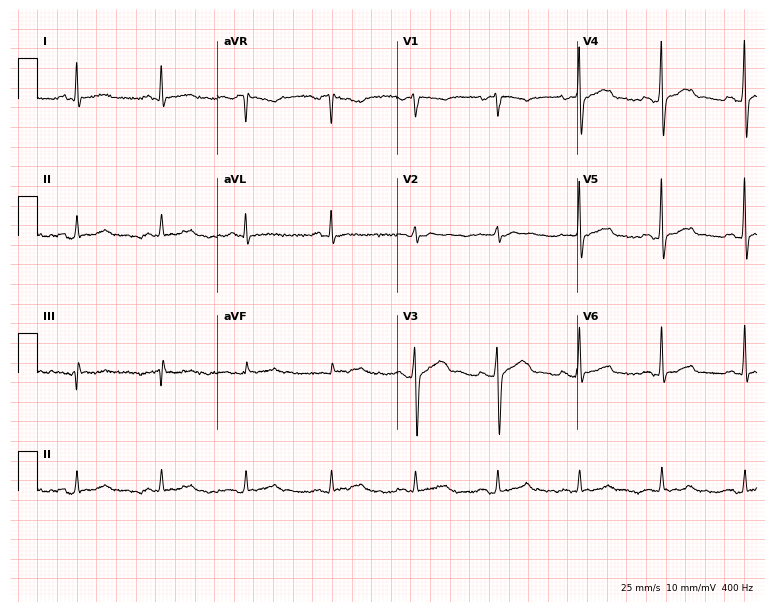
Resting 12-lead electrocardiogram (7.3-second recording at 400 Hz). Patient: a 56-year-old man. Read as a normal ECG.